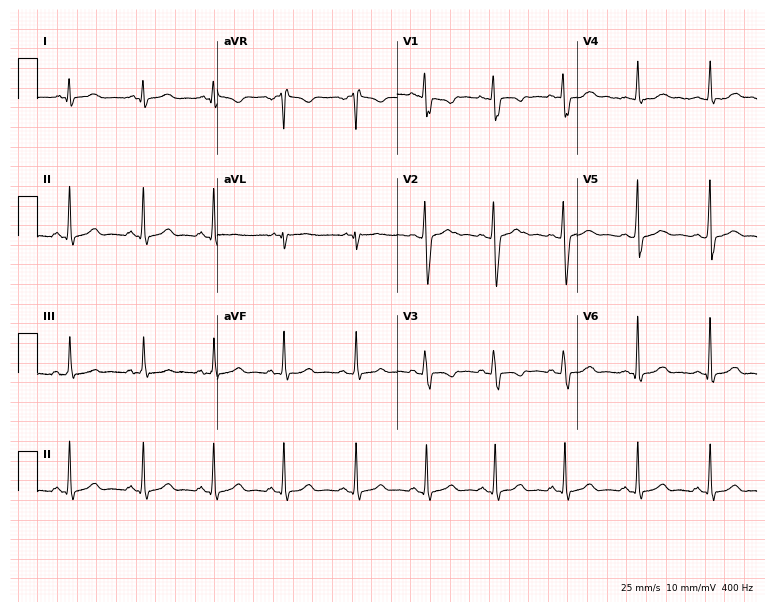
Resting 12-lead electrocardiogram. Patient: a female, 19 years old. Read as a normal ECG.